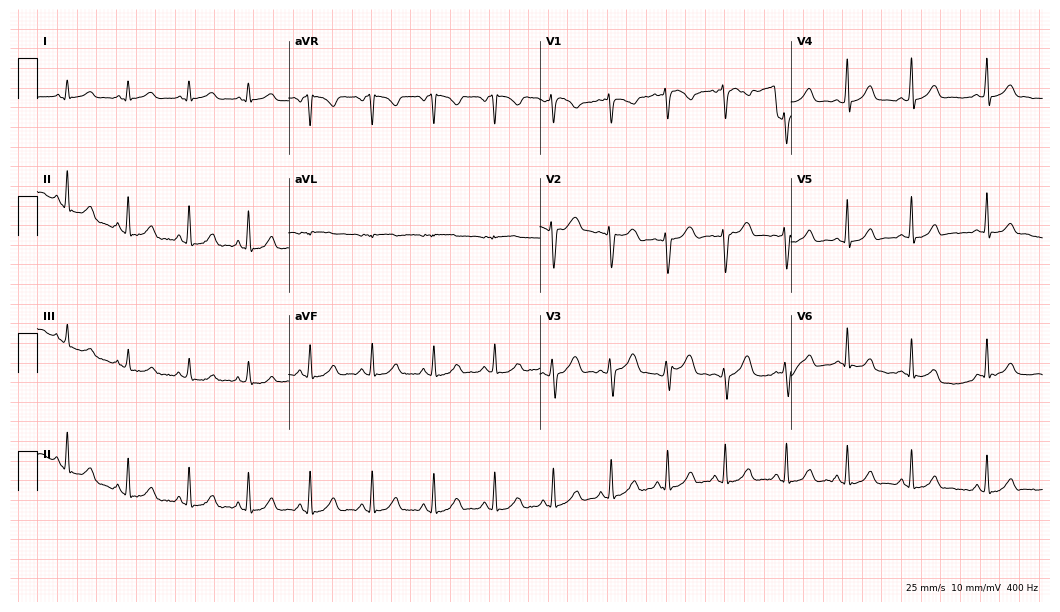
12-lead ECG from a 23-year-old female. Screened for six findings — first-degree AV block, right bundle branch block, left bundle branch block, sinus bradycardia, atrial fibrillation, sinus tachycardia — none is recorded.